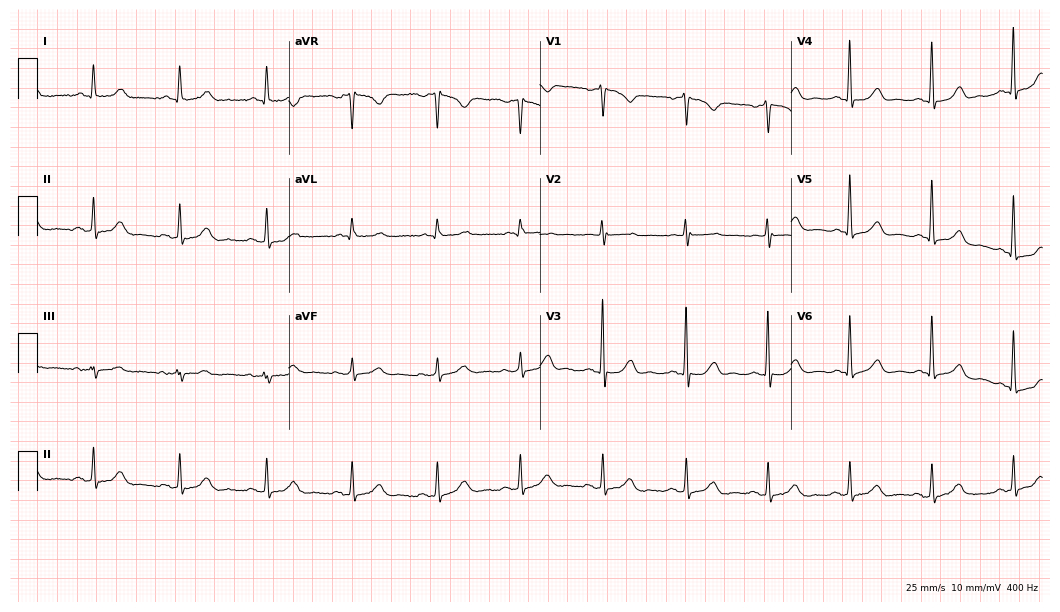
ECG — a 58-year-old woman. Labelled as a normal ECG.